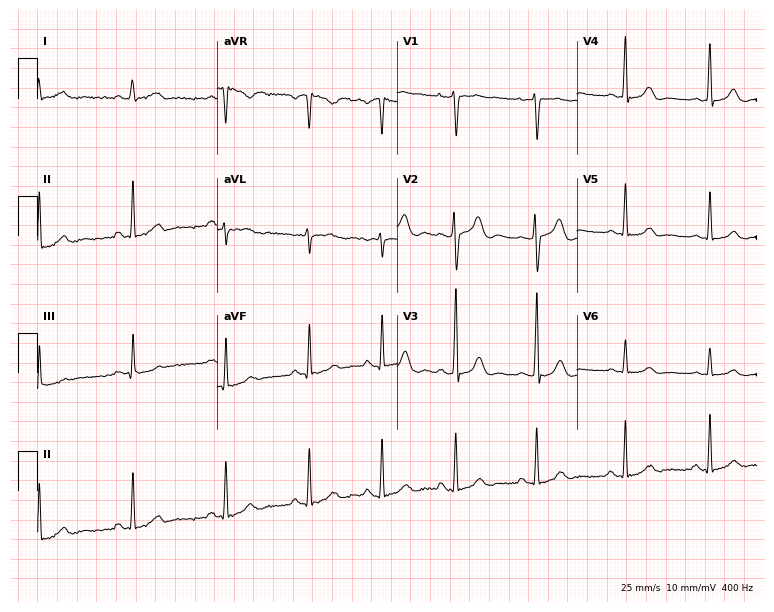
Resting 12-lead electrocardiogram (7.3-second recording at 400 Hz). Patient: a female, 21 years old. None of these six findings is recorded: first-degree AV block, right bundle branch block (RBBB), left bundle branch block (LBBB), sinus bradycardia, atrial fibrillation (AF), sinus tachycardia.